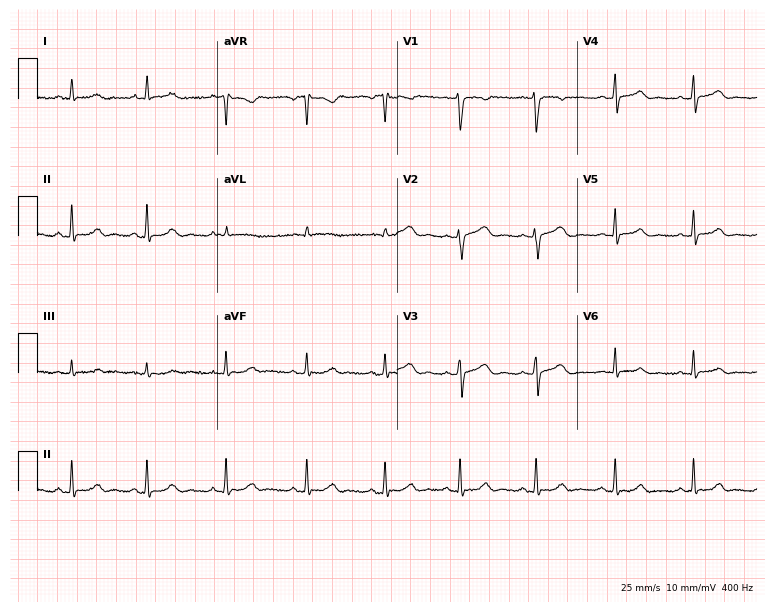
12-lead ECG from a female, 32 years old. Screened for six findings — first-degree AV block, right bundle branch block, left bundle branch block, sinus bradycardia, atrial fibrillation, sinus tachycardia — none is recorded.